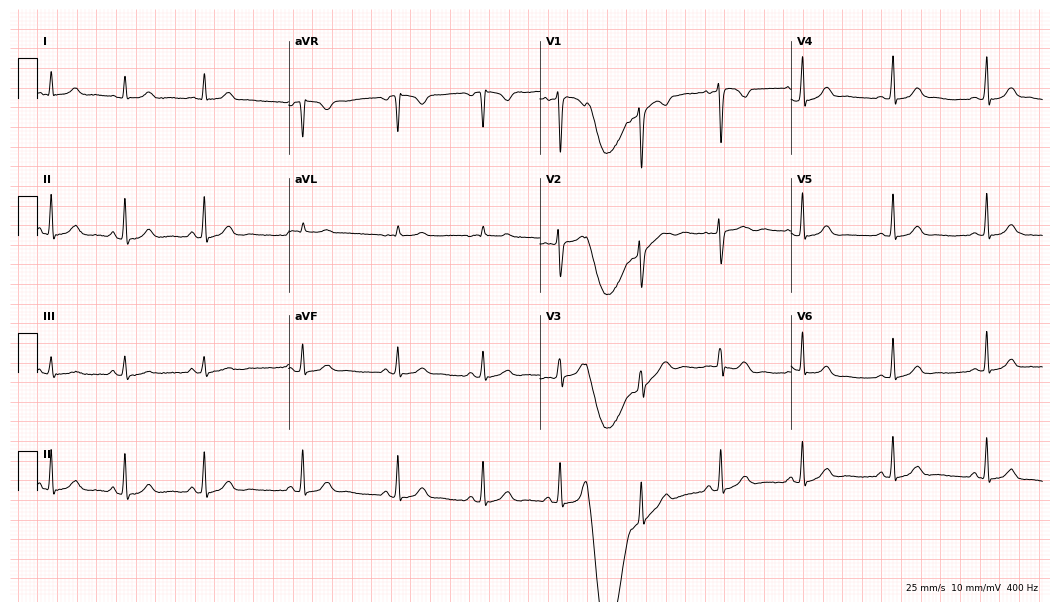
Standard 12-lead ECG recorded from a 26-year-old woman. Read as a normal ECG.